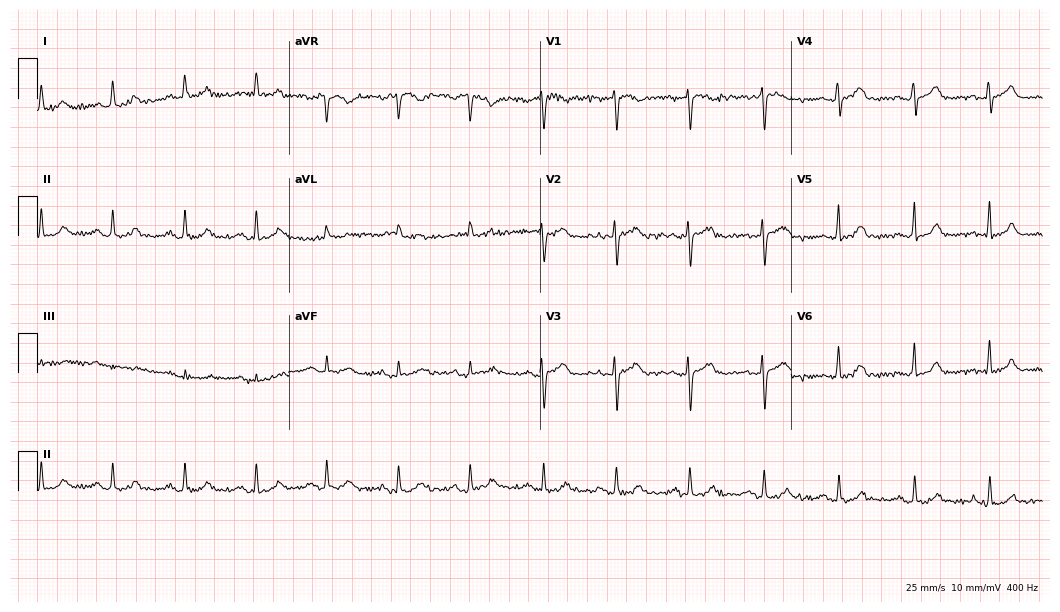
Electrocardiogram, a woman, 55 years old. Overall reading on record: normal ECG.